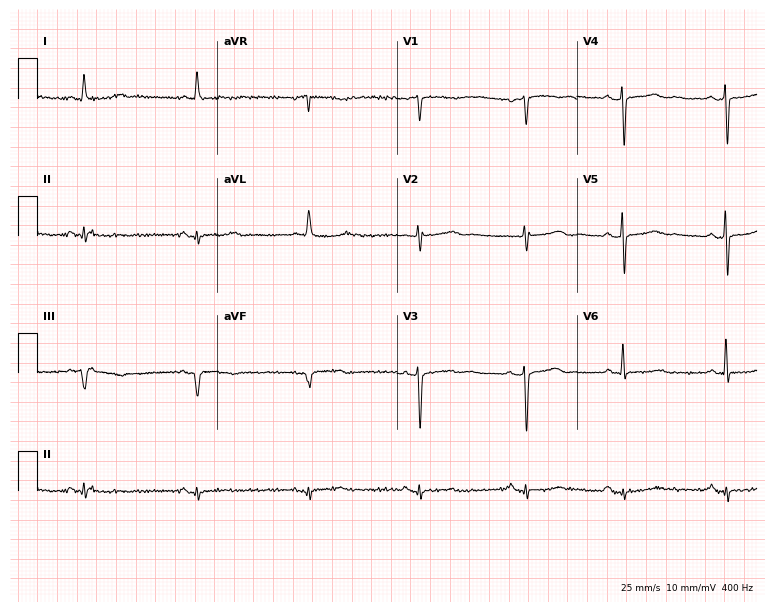
ECG (7.3-second recording at 400 Hz) — a female patient, 78 years old. Screened for six findings — first-degree AV block, right bundle branch block (RBBB), left bundle branch block (LBBB), sinus bradycardia, atrial fibrillation (AF), sinus tachycardia — none is recorded.